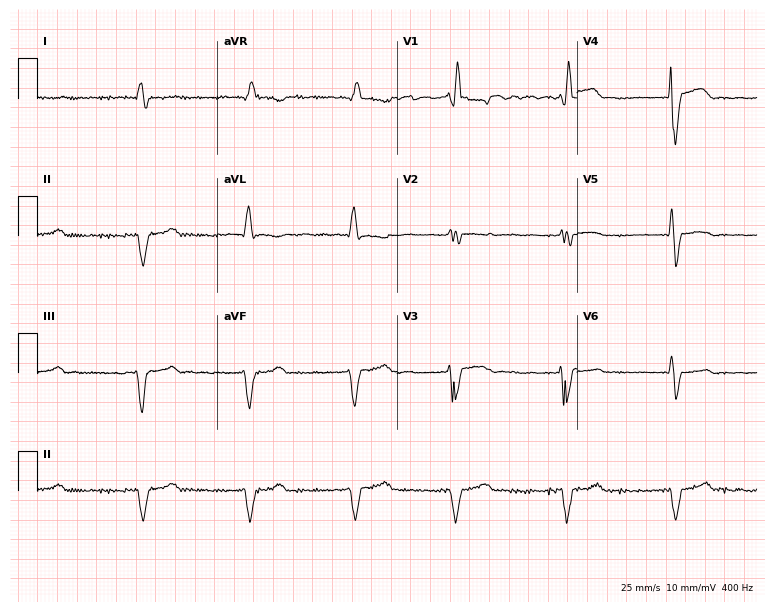
ECG (7.3-second recording at 400 Hz) — a 72-year-old female. Findings include first-degree AV block, right bundle branch block (RBBB), atrial fibrillation (AF).